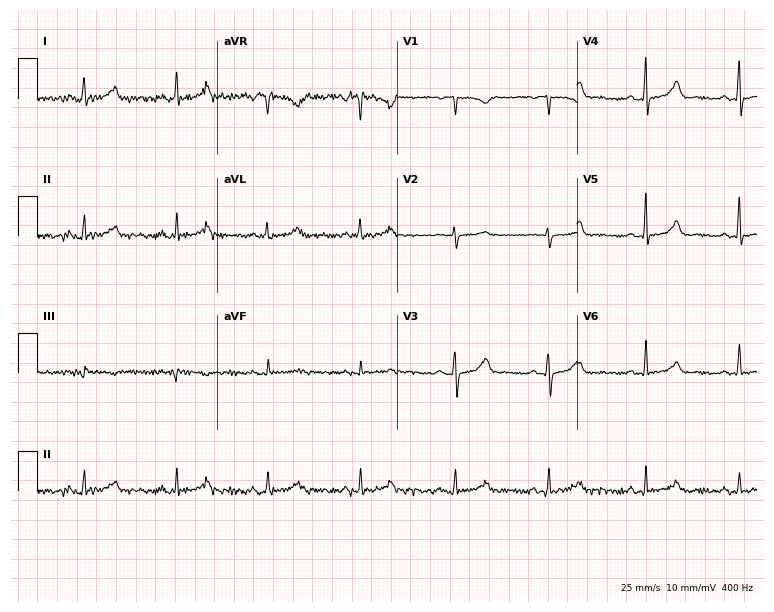
12-lead ECG from a 53-year-old female. Recorded interpretation: within normal limits.